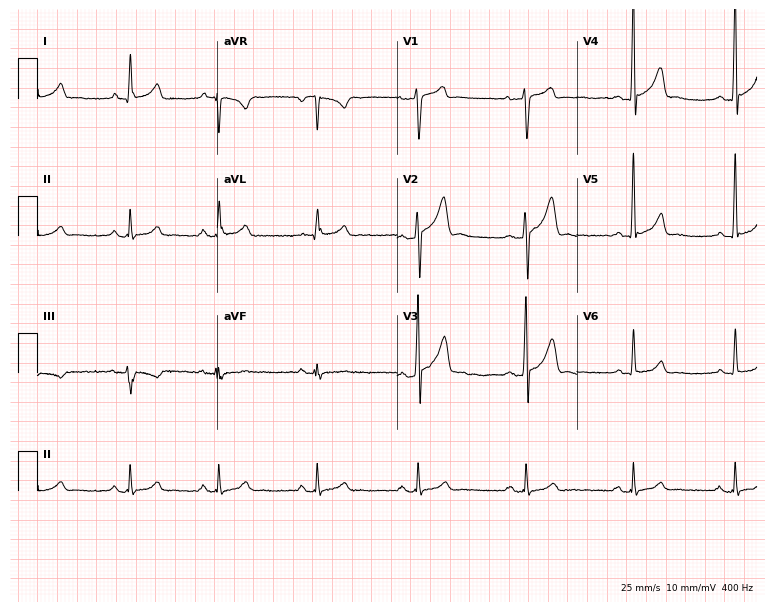
12-lead ECG (7.3-second recording at 400 Hz) from a 31-year-old man. Screened for six findings — first-degree AV block, right bundle branch block, left bundle branch block, sinus bradycardia, atrial fibrillation, sinus tachycardia — none is recorded. Only these six findings were labelled.